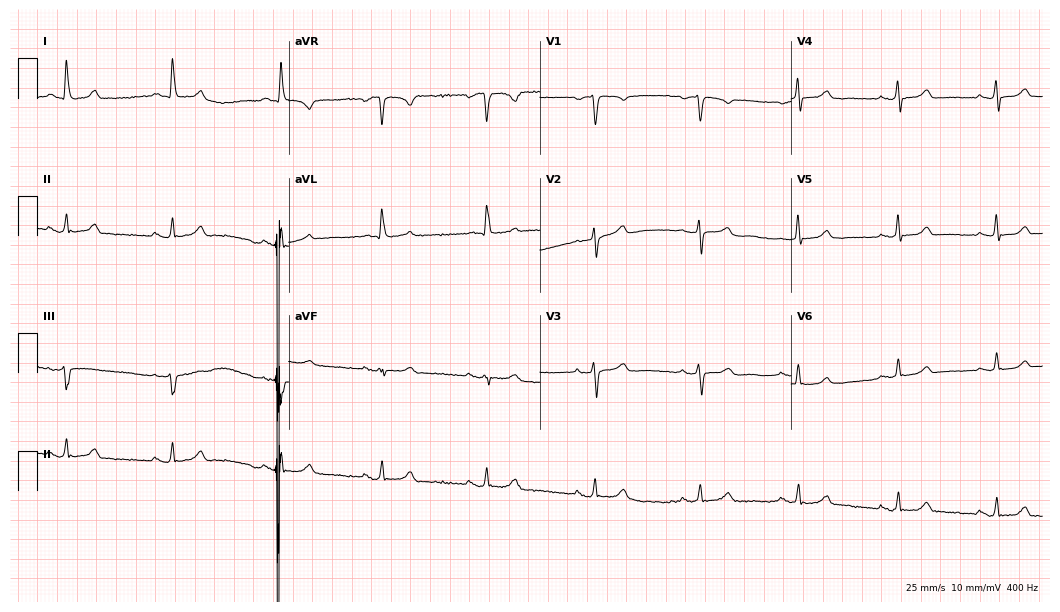
Electrocardiogram (10.2-second recording at 400 Hz), a 55-year-old female. Overall reading on record: normal ECG.